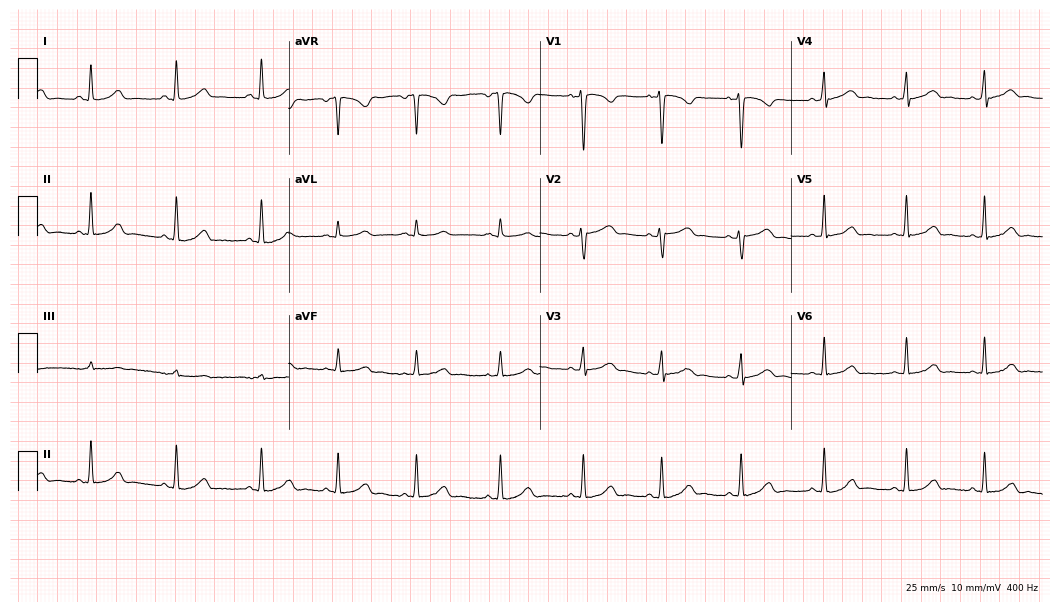
12-lead ECG from a 32-year-old woman. Recorded interpretation: within normal limits.